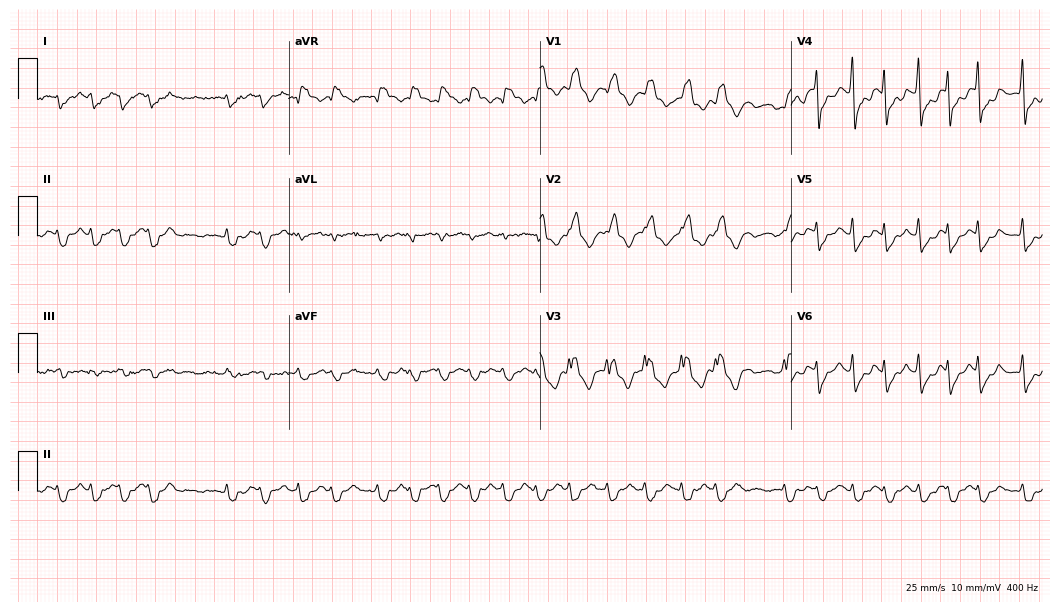
12-lead ECG (10.2-second recording at 400 Hz) from a woman, 67 years old. Findings include right bundle branch block (RBBB), atrial fibrillation (AF).